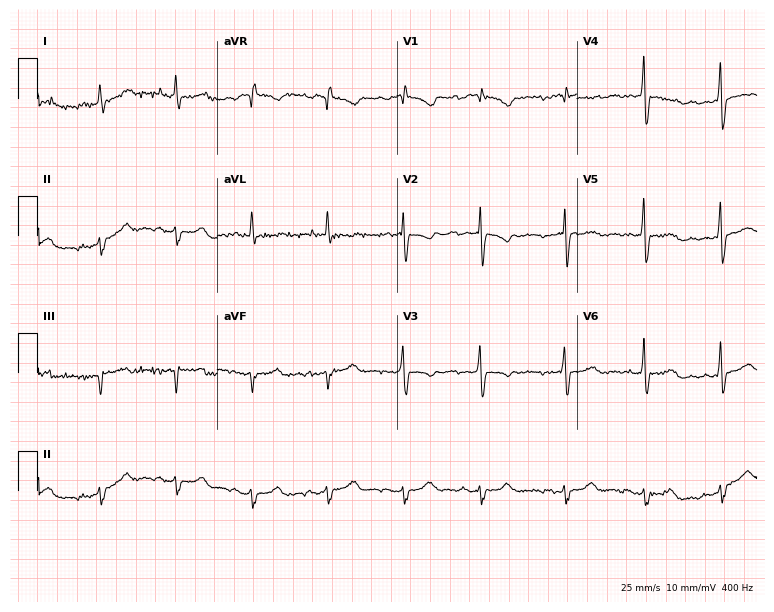
Electrocardiogram, a woman, 67 years old. Of the six screened findings (first-degree AV block, right bundle branch block, left bundle branch block, sinus bradycardia, atrial fibrillation, sinus tachycardia), none is recorded. Only these six findings were labelled.